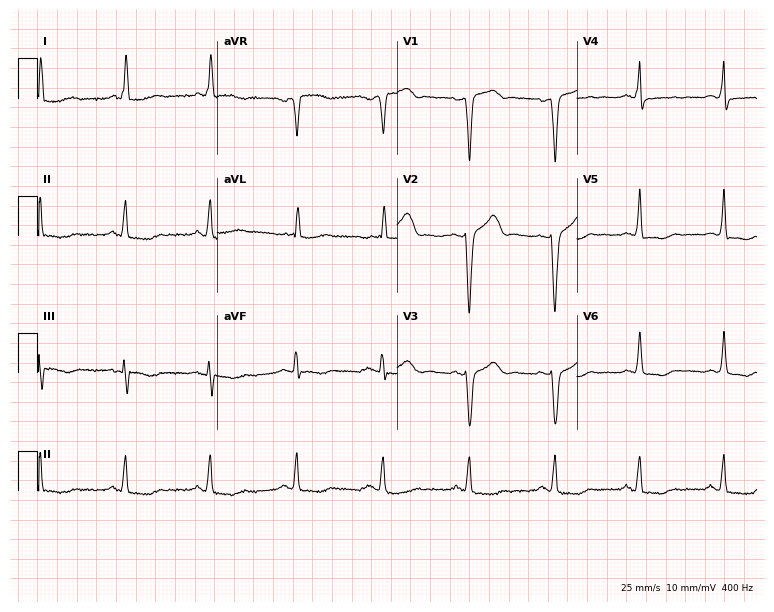
Standard 12-lead ECG recorded from a female patient, 60 years old (7.3-second recording at 400 Hz). None of these six findings is recorded: first-degree AV block, right bundle branch block (RBBB), left bundle branch block (LBBB), sinus bradycardia, atrial fibrillation (AF), sinus tachycardia.